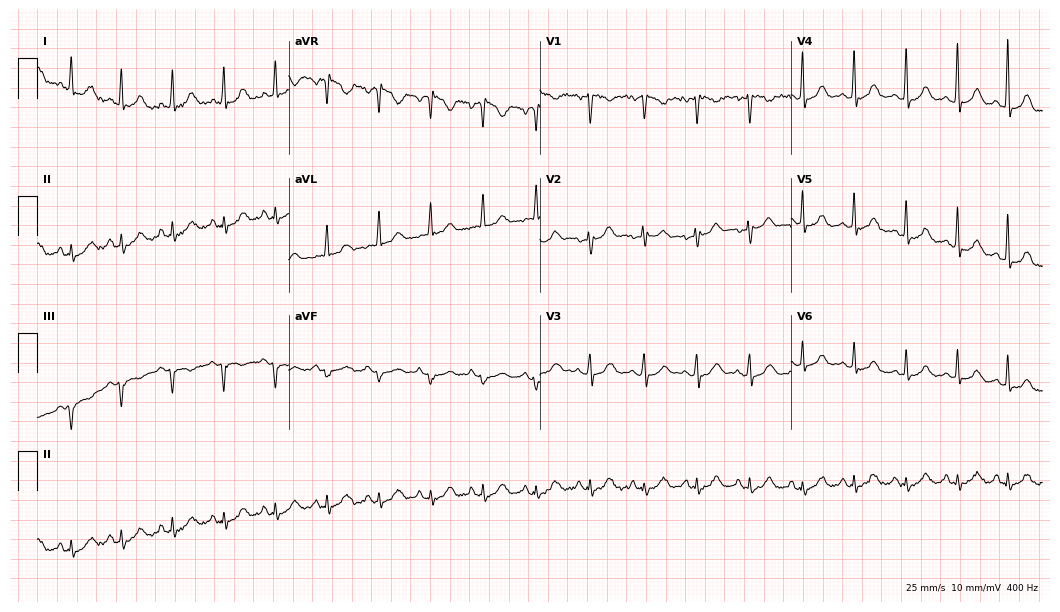
ECG (10.2-second recording at 400 Hz) — a 27-year-old female. Screened for six findings — first-degree AV block, right bundle branch block (RBBB), left bundle branch block (LBBB), sinus bradycardia, atrial fibrillation (AF), sinus tachycardia — none is recorded. Findings outside these six are not listed.